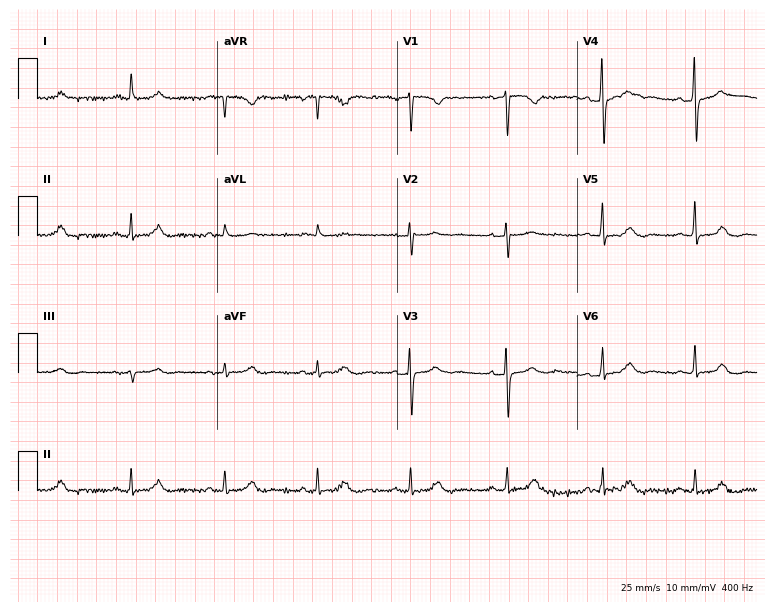
Standard 12-lead ECG recorded from a 61-year-old female. Read as a normal ECG.